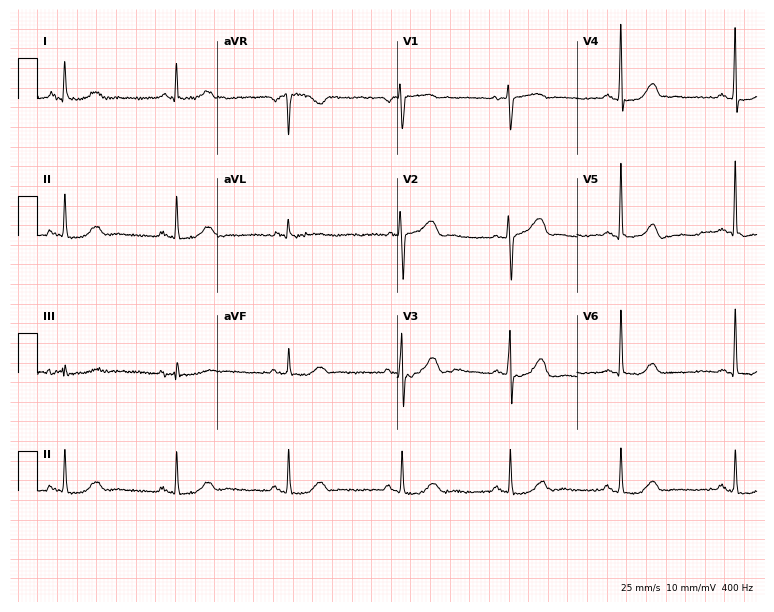
Electrocardiogram (7.3-second recording at 400 Hz), a woman, 74 years old. Of the six screened findings (first-degree AV block, right bundle branch block (RBBB), left bundle branch block (LBBB), sinus bradycardia, atrial fibrillation (AF), sinus tachycardia), none is recorded. Only these six findings were labelled.